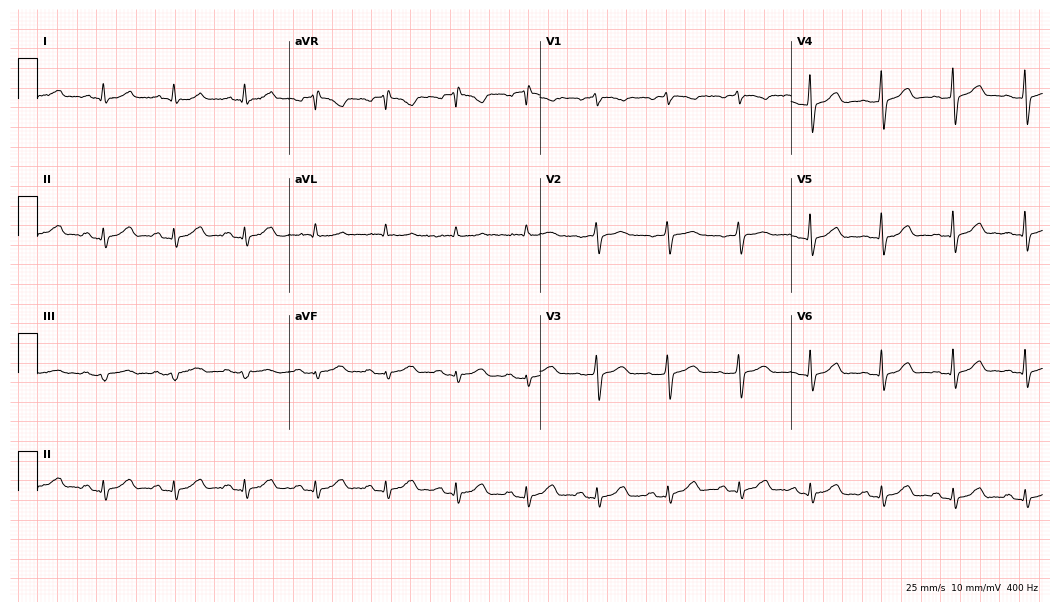
12-lead ECG (10.2-second recording at 400 Hz) from a female, 61 years old. Labelled as a normal ECG.